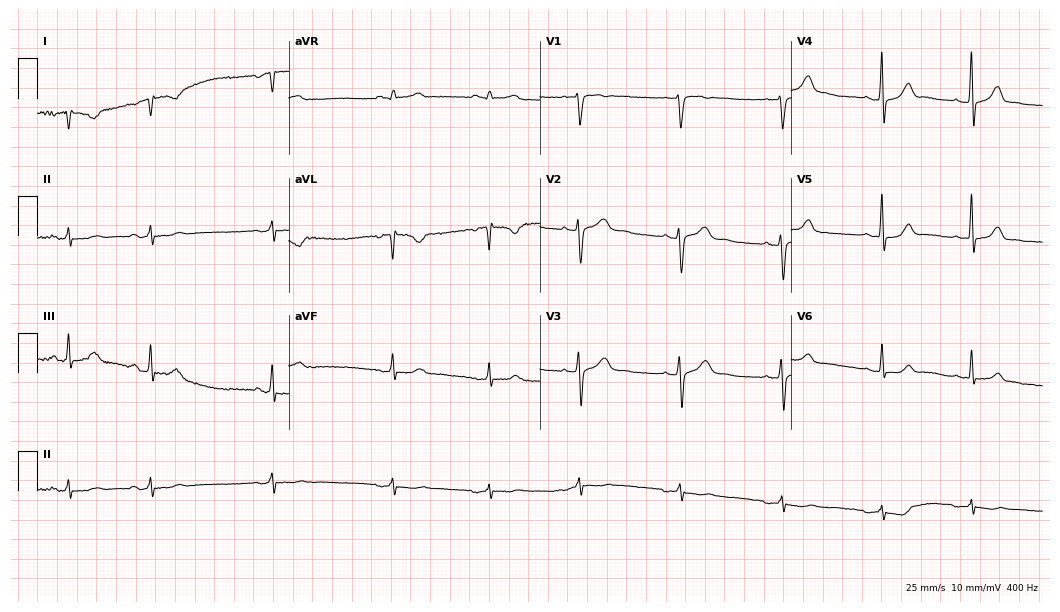
Resting 12-lead electrocardiogram (10.2-second recording at 400 Hz). Patient: a 24-year-old female. None of these six findings is recorded: first-degree AV block, right bundle branch block, left bundle branch block, sinus bradycardia, atrial fibrillation, sinus tachycardia. Findings outside these six are not listed.